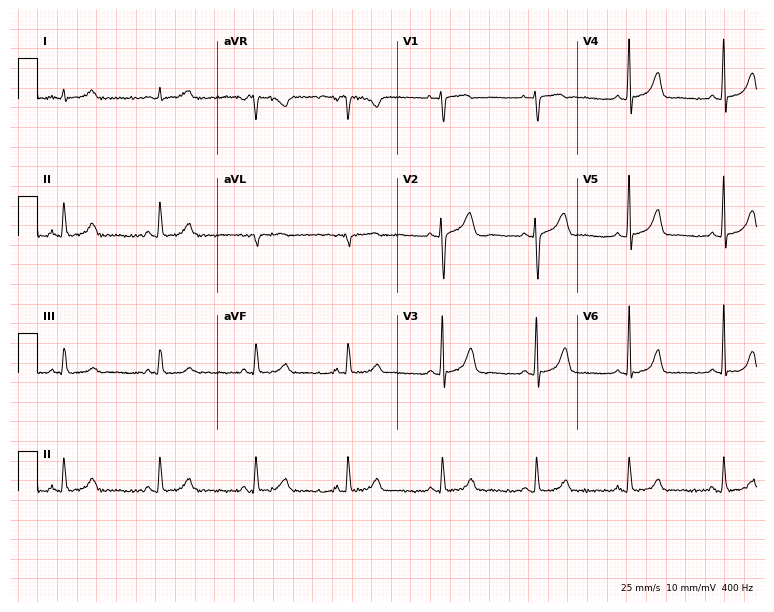
ECG (7.3-second recording at 400 Hz) — a female patient, 40 years old. Labelled as a normal ECG.